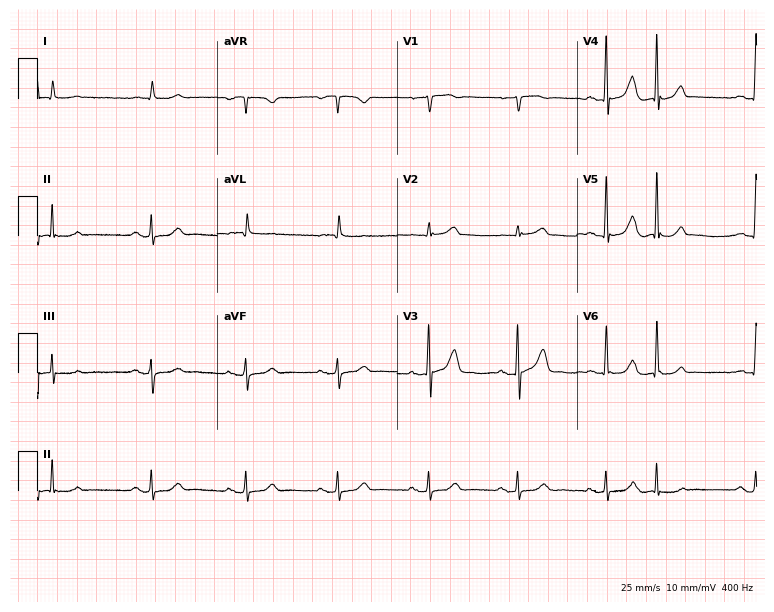
12-lead ECG (7.3-second recording at 400 Hz) from a 65-year-old male. Labelled as a normal ECG.